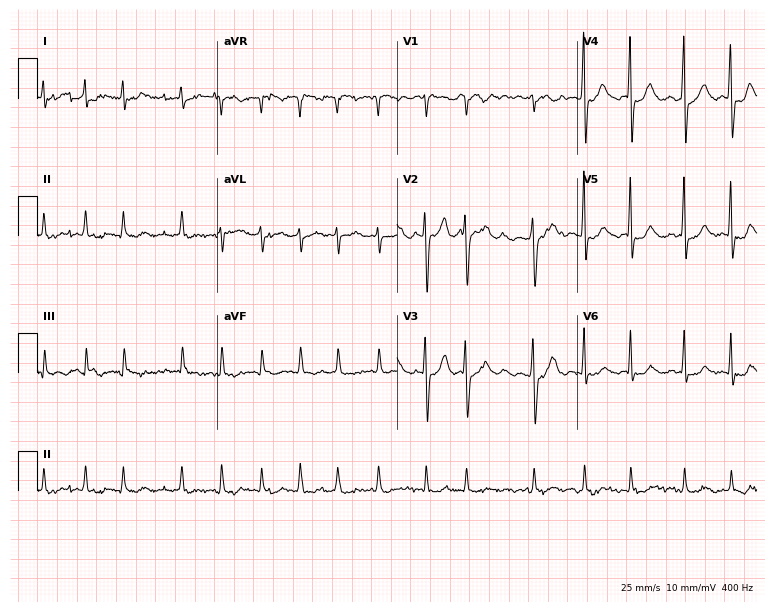
12-lead ECG from a male patient, 84 years old (7.3-second recording at 400 Hz). Shows atrial fibrillation (AF).